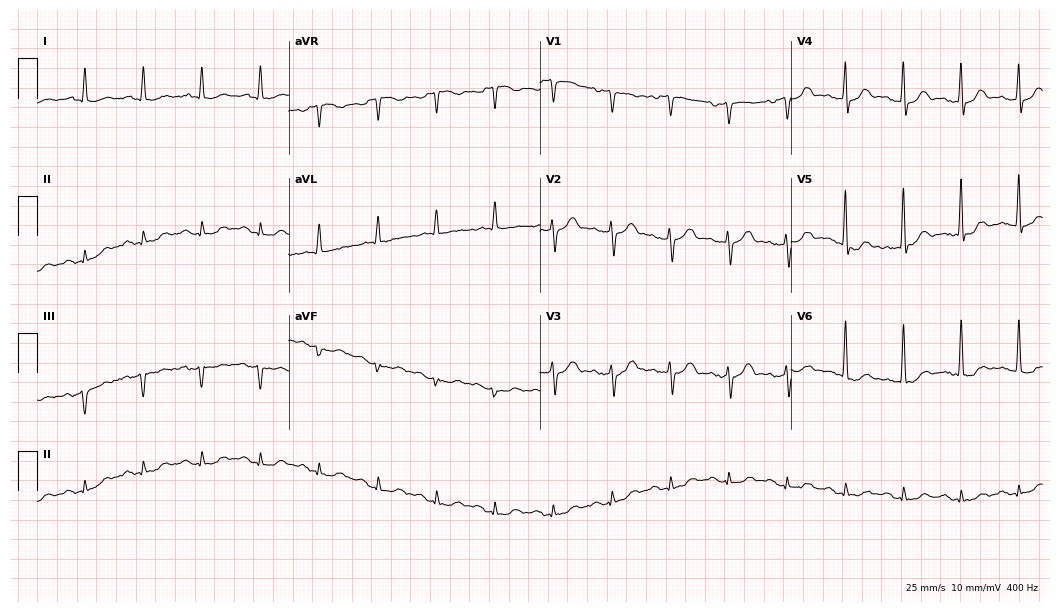
ECG — a 79-year-old man. Findings include sinus tachycardia (a sinus rate of 100 beats per minute or more).